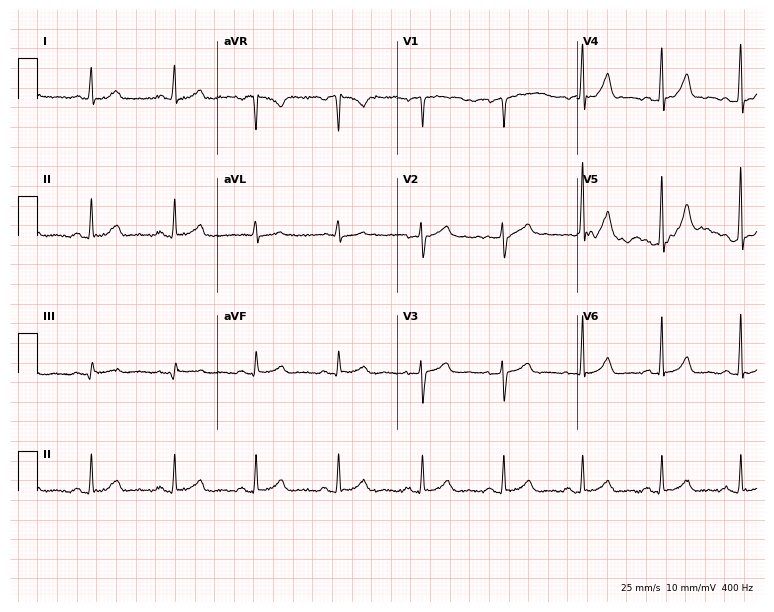
Standard 12-lead ECG recorded from a 61-year-old female patient. Read as a normal ECG.